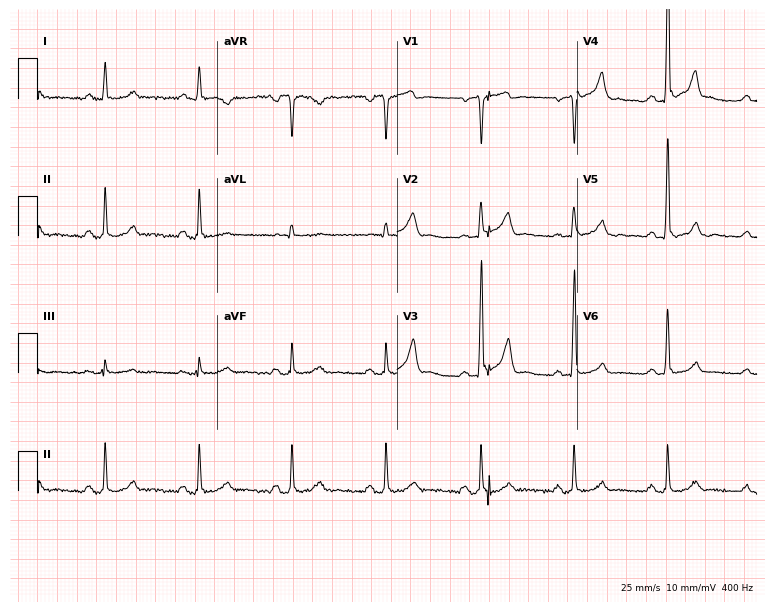
12-lead ECG from a 56-year-old man. Screened for six findings — first-degree AV block, right bundle branch block, left bundle branch block, sinus bradycardia, atrial fibrillation, sinus tachycardia — none is recorded.